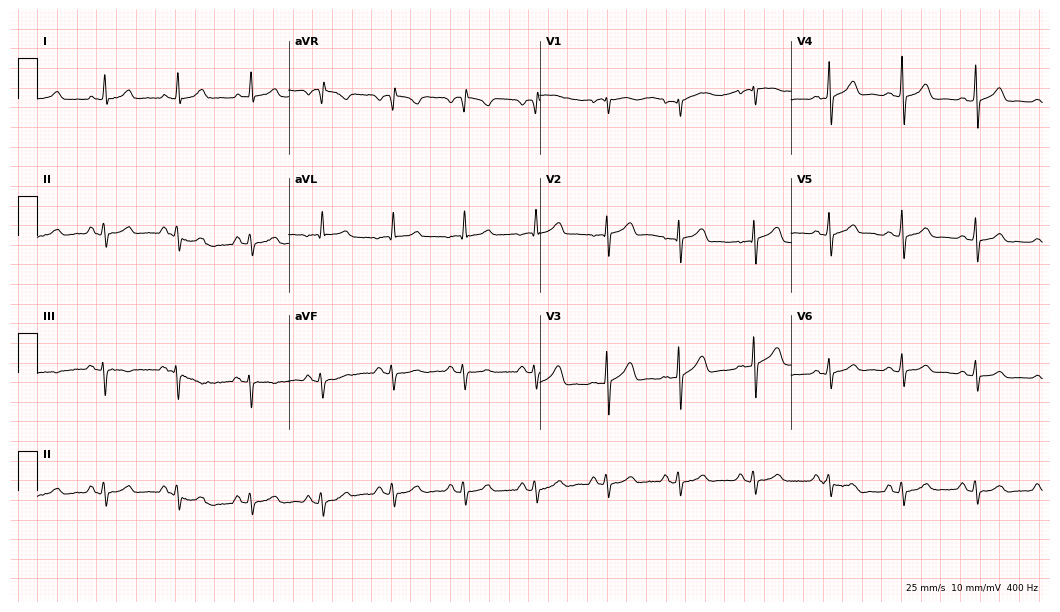
12-lead ECG from a 76-year-old female. Labelled as a normal ECG.